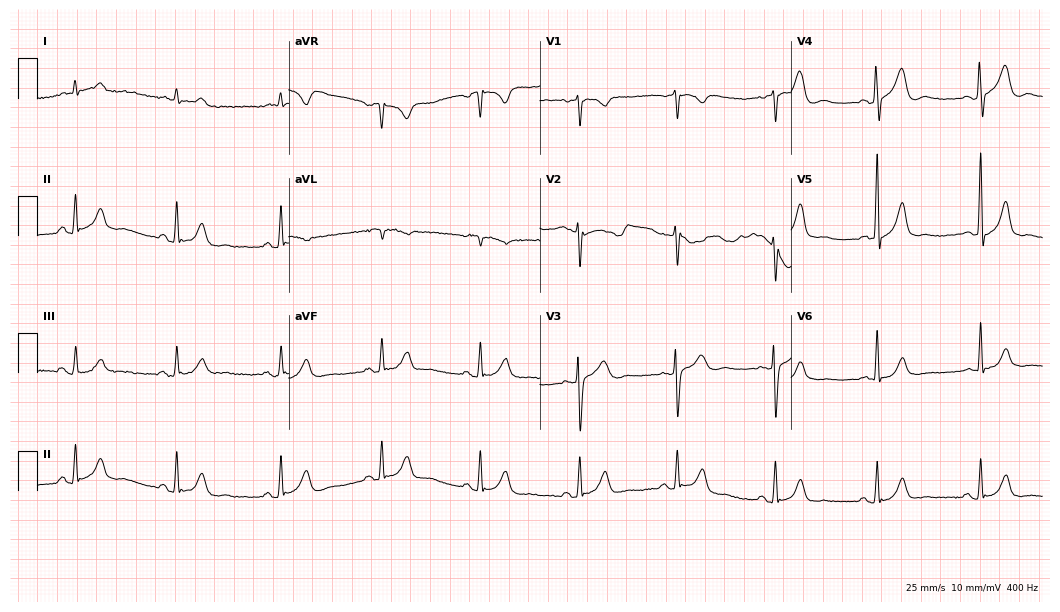
Standard 12-lead ECG recorded from a 56-year-old male (10.2-second recording at 400 Hz). Read as a normal ECG.